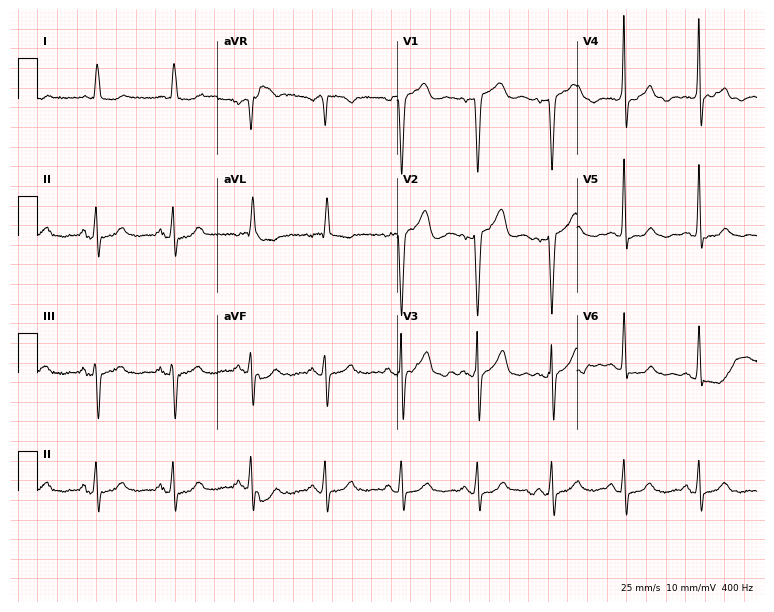
Standard 12-lead ECG recorded from a 65-year-old female. None of these six findings is recorded: first-degree AV block, right bundle branch block, left bundle branch block, sinus bradycardia, atrial fibrillation, sinus tachycardia. Other findings, if any, are not listed.